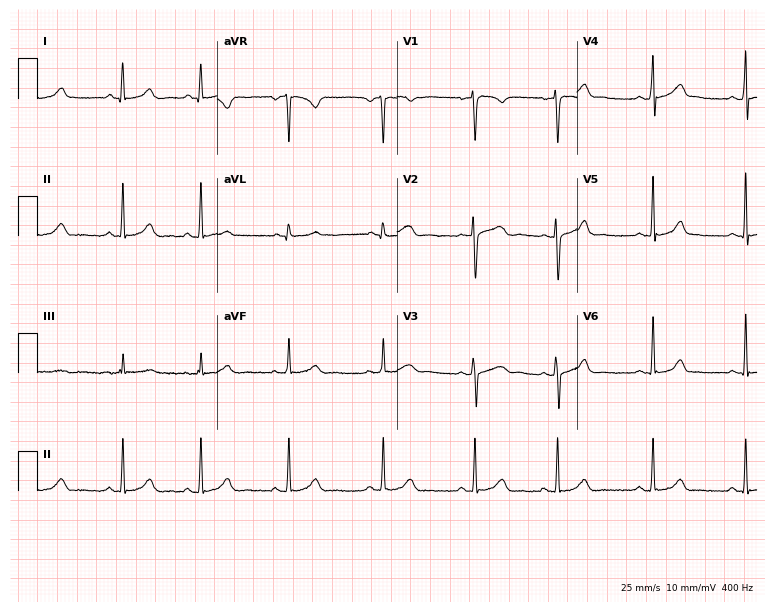
Resting 12-lead electrocardiogram. Patient: a woman, 19 years old. Read as a normal ECG.